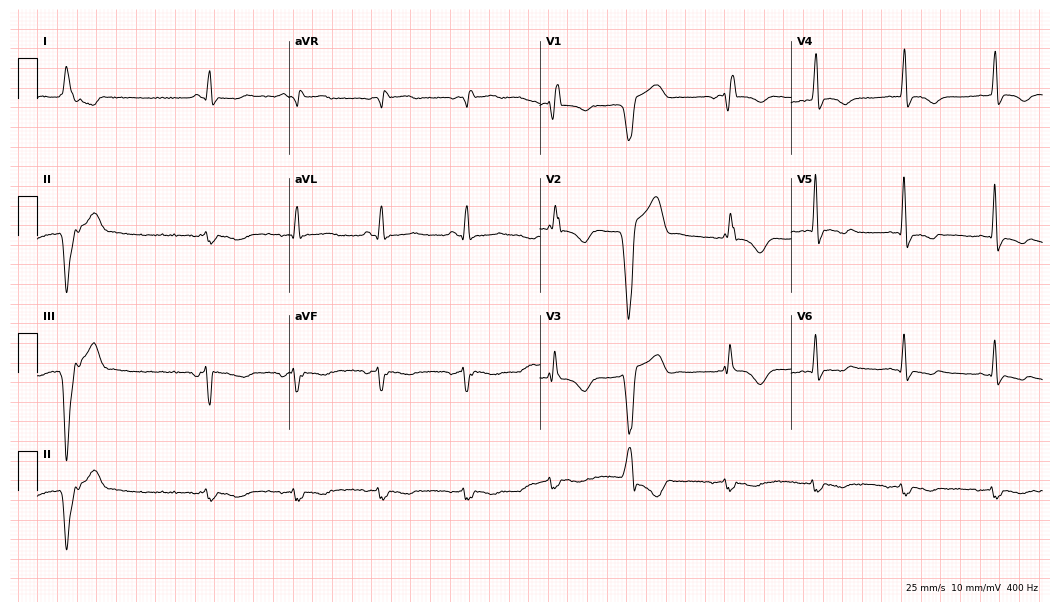
12-lead ECG from a male, 50 years old (10.2-second recording at 400 Hz). Shows right bundle branch block (RBBB).